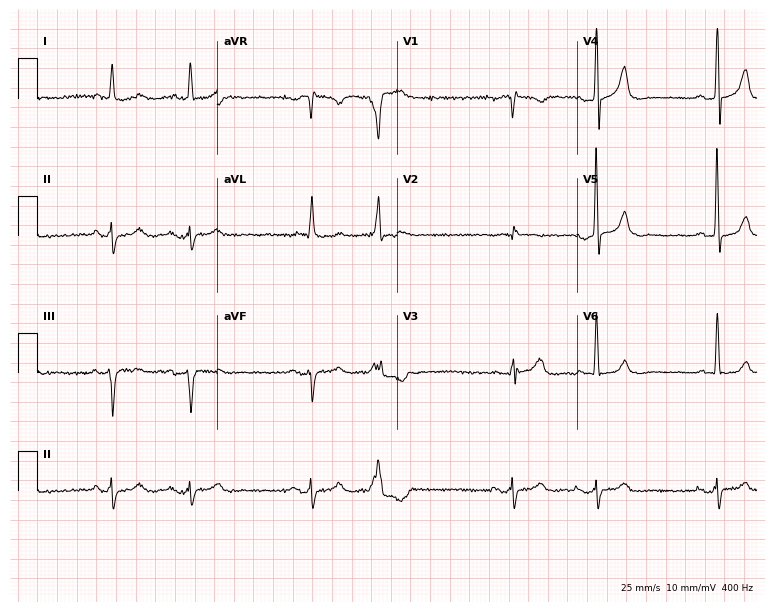
Standard 12-lead ECG recorded from a man, 83 years old (7.3-second recording at 400 Hz). None of these six findings is recorded: first-degree AV block, right bundle branch block, left bundle branch block, sinus bradycardia, atrial fibrillation, sinus tachycardia.